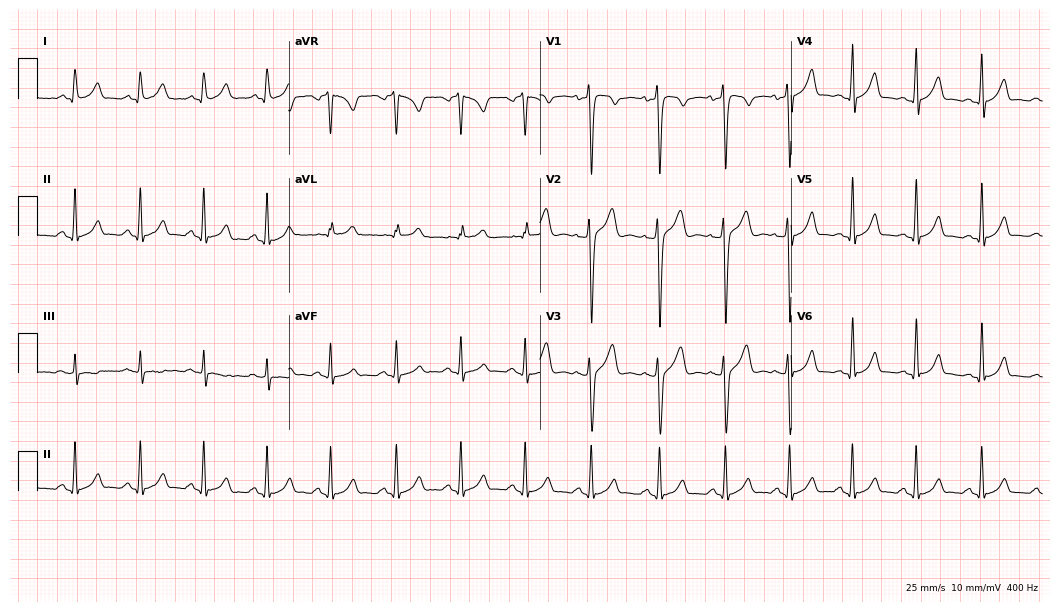
12-lead ECG (10.2-second recording at 400 Hz) from an 18-year-old man. Labelled as a normal ECG.